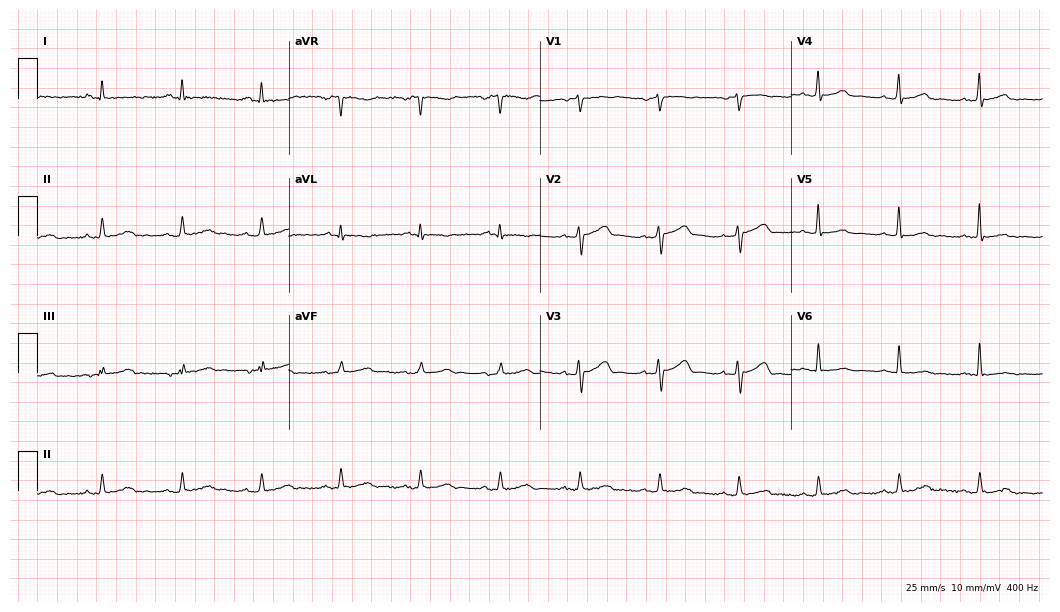
ECG (10.2-second recording at 400 Hz) — a 56-year-old female patient. Screened for six findings — first-degree AV block, right bundle branch block (RBBB), left bundle branch block (LBBB), sinus bradycardia, atrial fibrillation (AF), sinus tachycardia — none is recorded. Other findings, if any, are not listed.